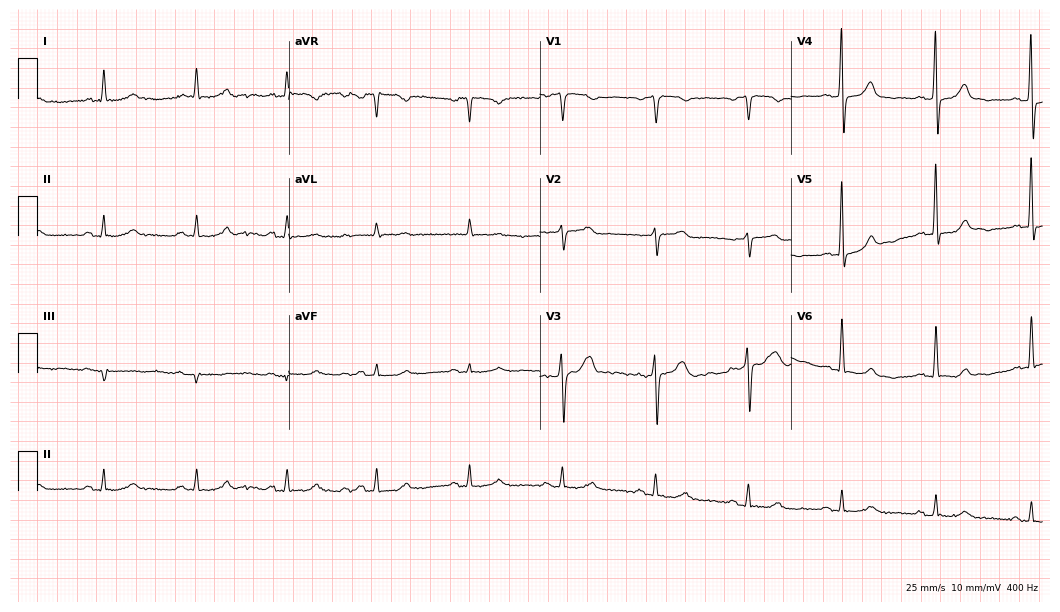
Electrocardiogram (10.2-second recording at 400 Hz), a male patient, 83 years old. Overall reading on record: normal ECG.